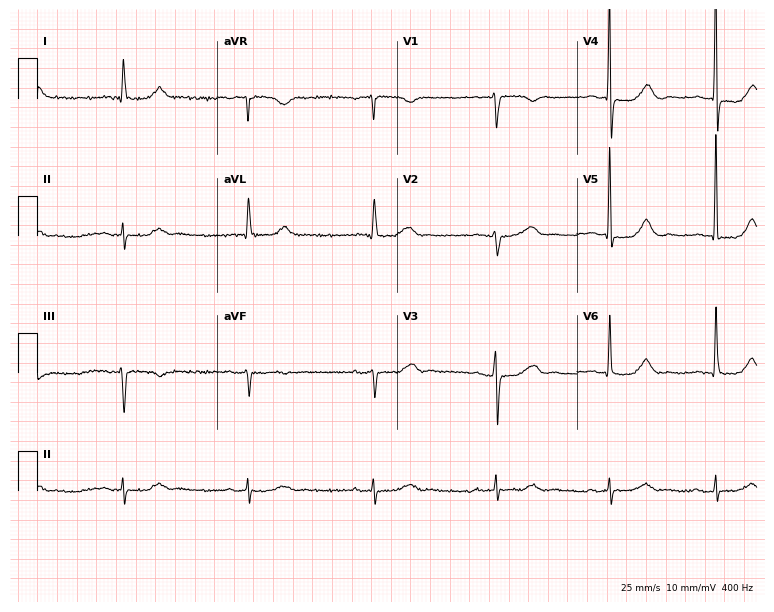
Standard 12-lead ECG recorded from a woman, 78 years old (7.3-second recording at 400 Hz). None of these six findings is recorded: first-degree AV block, right bundle branch block, left bundle branch block, sinus bradycardia, atrial fibrillation, sinus tachycardia.